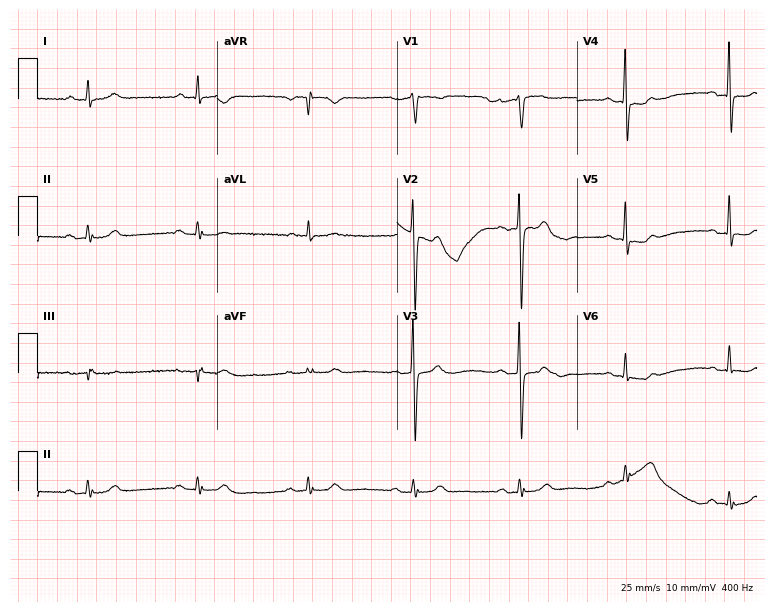
Electrocardiogram (7.3-second recording at 400 Hz), a male, 52 years old. Overall reading on record: normal ECG.